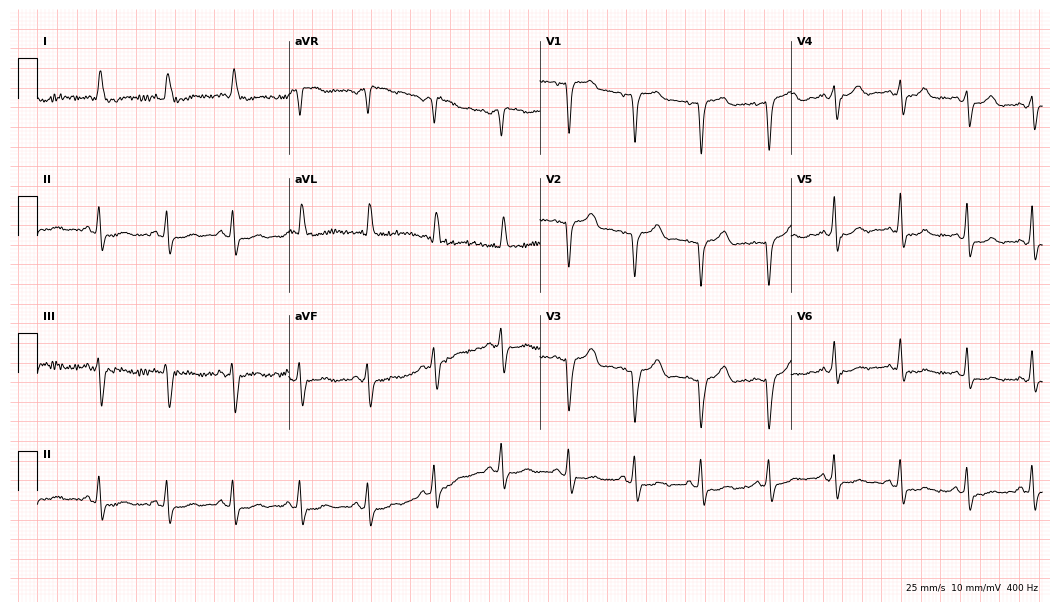
Electrocardiogram (10.2-second recording at 400 Hz), a 74-year-old woman. Of the six screened findings (first-degree AV block, right bundle branch block, left bundle branch block, sinus bradycardia, atrial fibrillation, sinus tachycardia), none is recorded. Only these six findings were labelled.